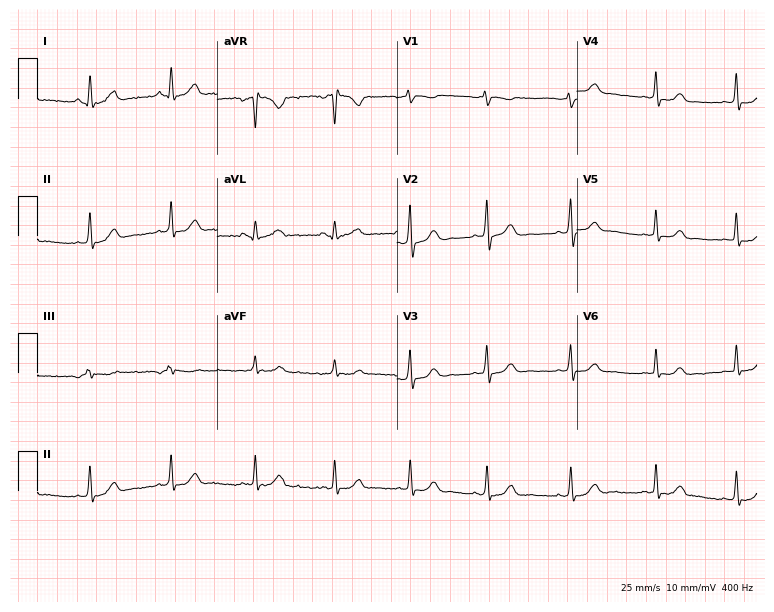
Standard 12-lead ECG recorded from a female patient, 34 years old (7.3-second recording at 400 Hz). None of these six findings is recorded: first-degree AV block, right bundle branch block (RBBB), left bundle branch block (LBBB), sinus bradycardia, atrial fibrillation (AF), sinus tachycardia. Findings outside these six are not listed.